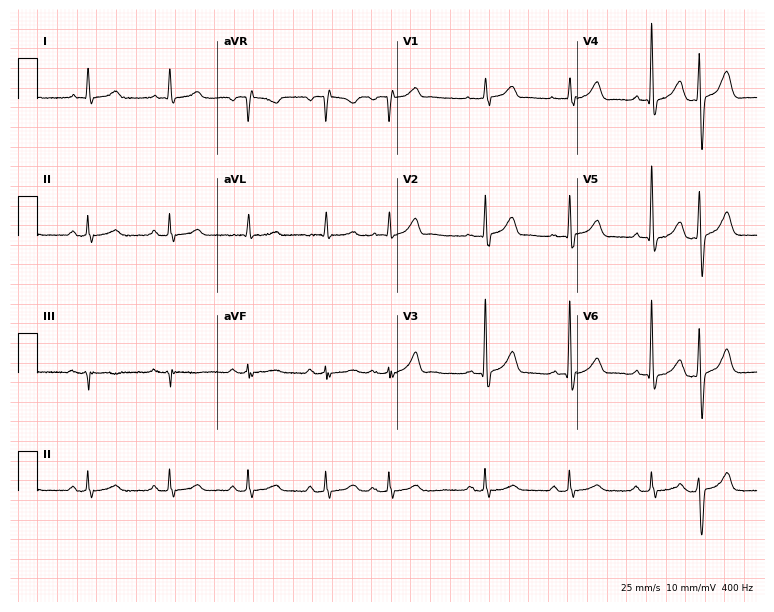
12-lead ECG from an 85-year-old man. Screened for six findings — first-degree AV block, right bundle branch block (RBBB), left bundle branch block (LBBB), sinus bradycardia, atrial fibrillation (AF), sinus tachycardia — none is recorded. Findings outside these six are not listed.